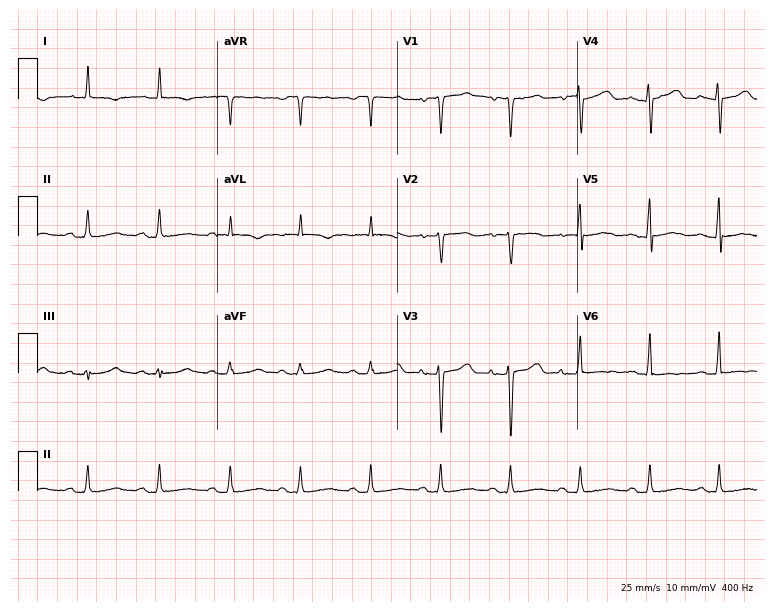
ECG (7.3-second recording at 400 Hz) — a female, 81 years old. Screened for six findings — first-degree AV block, right bundle branch block (RBBB), left bundle branch block (LBBB), sinus bradycardia, atrial fibrillation (AF), sinus tachycardia — none is recorded. Only these six findings were labelled.